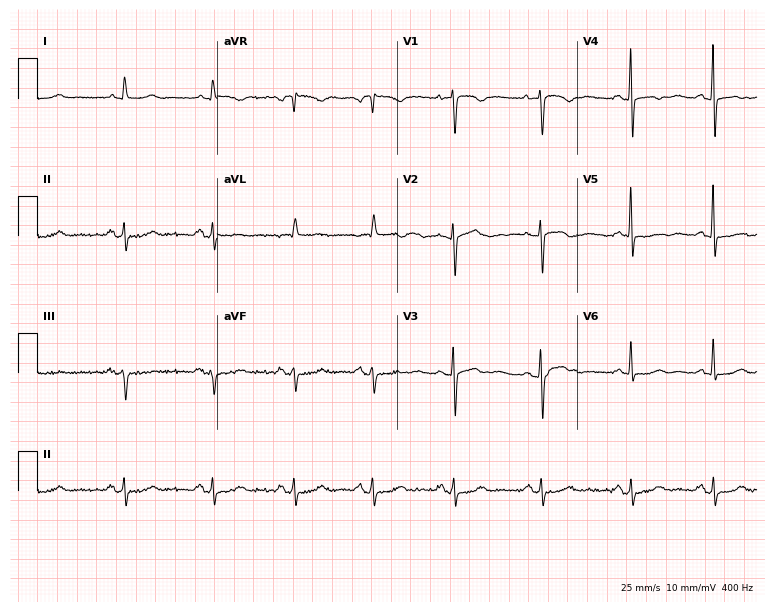
ECG — a 72-year-old female patient. Screened for six findings — first-degree AV block, right bundle branch block, left bundle branch block, sinus bradycardia, atrial fibrillation, sinus tachycardia — none is recorded.